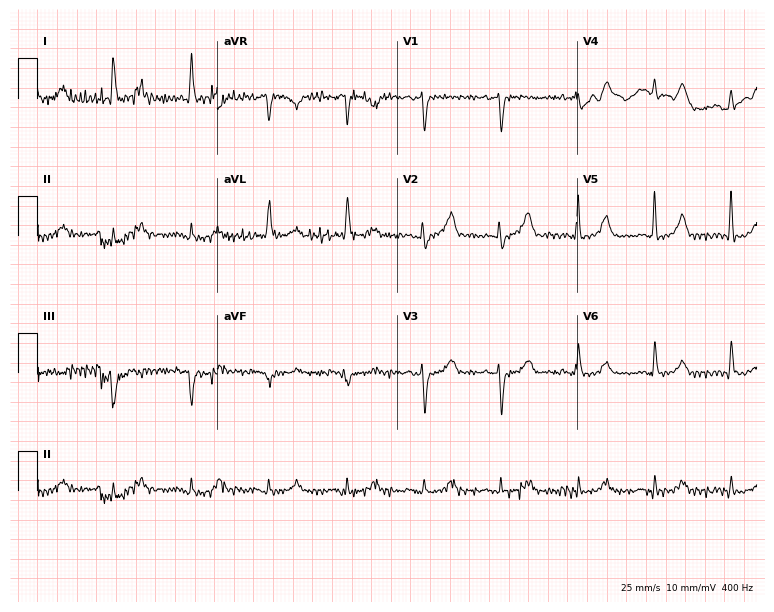
12-lead ECG from a 78-year-old female. No first-degree AV block, right bundle branch block (RBBB), left bundle branch block (LBBB), sinus bradycardia, atrial fibrillation (AF) or sinus tachycardia recorded for this tracing. Other findings, if any, are not listed.